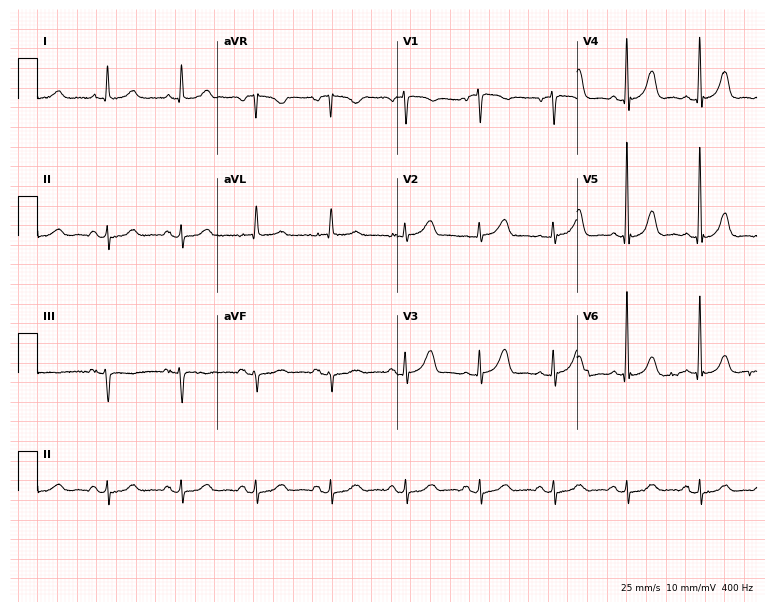
Electrocardiogram (7.3-second recording at 400 Hz), a female patient, 77 years old. Of the six screened findings (first-degree AV block, right bundle branch block, left bundle branch block, sinus bradycardia, atrial fibrillation, sinus tachycardia), none is recorded.